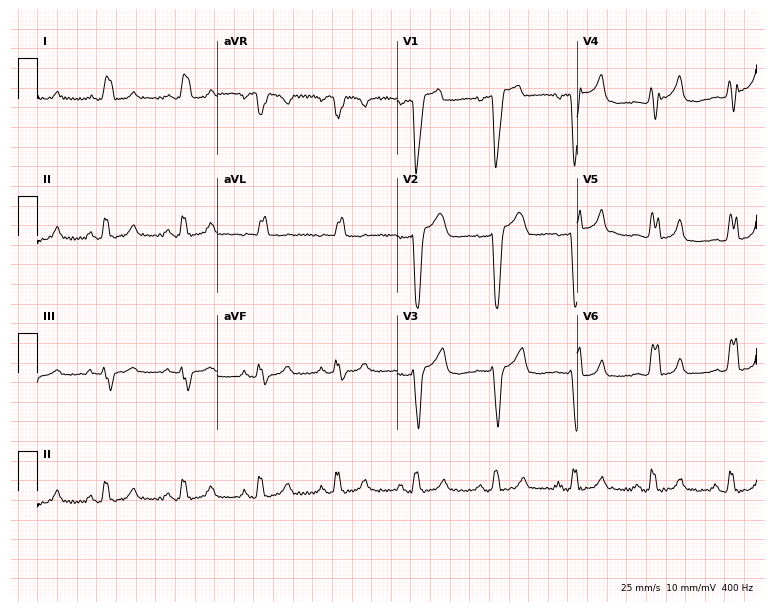
Standard 12-lead ECG recorded from a female patient, 56 years old (7.3-second recording at 400 Hz). The tracing shows left bundle branch block.